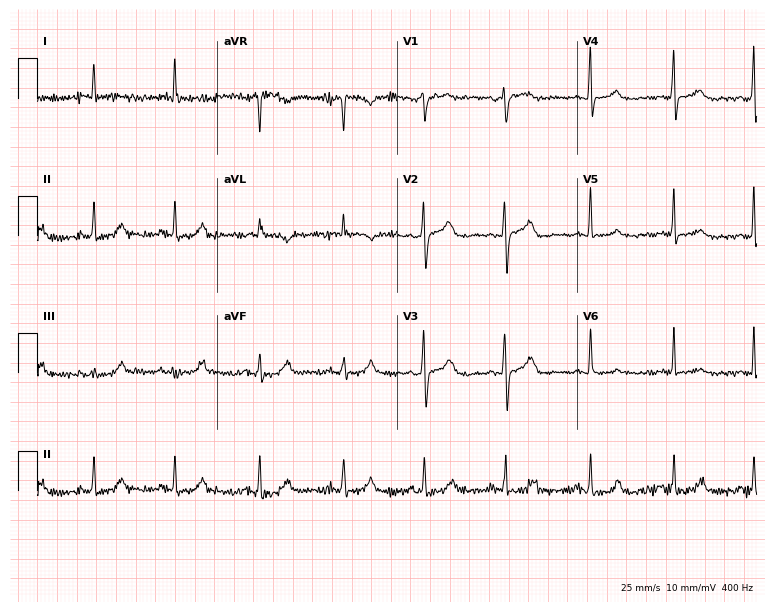
Electrocardiogram, a female, 57 years old. Of the six screened findings (first-degree AV block, right bundle branch block, left bundle branch block, sinus bradycardia, atrial fibrillation, sinus tachycardia), none is recorded. Findings outside these six are not listed.